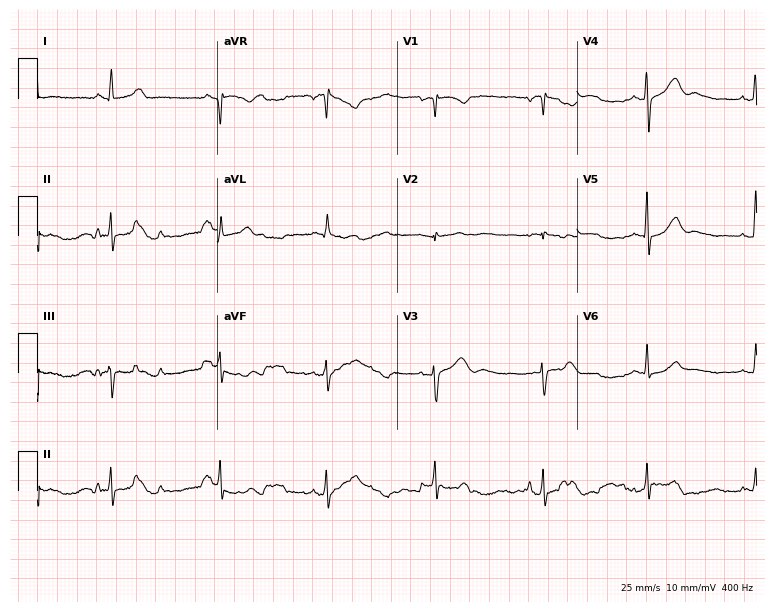
12-lead ECG from a female patient, 40 years old. Labelled as a normal ECG.